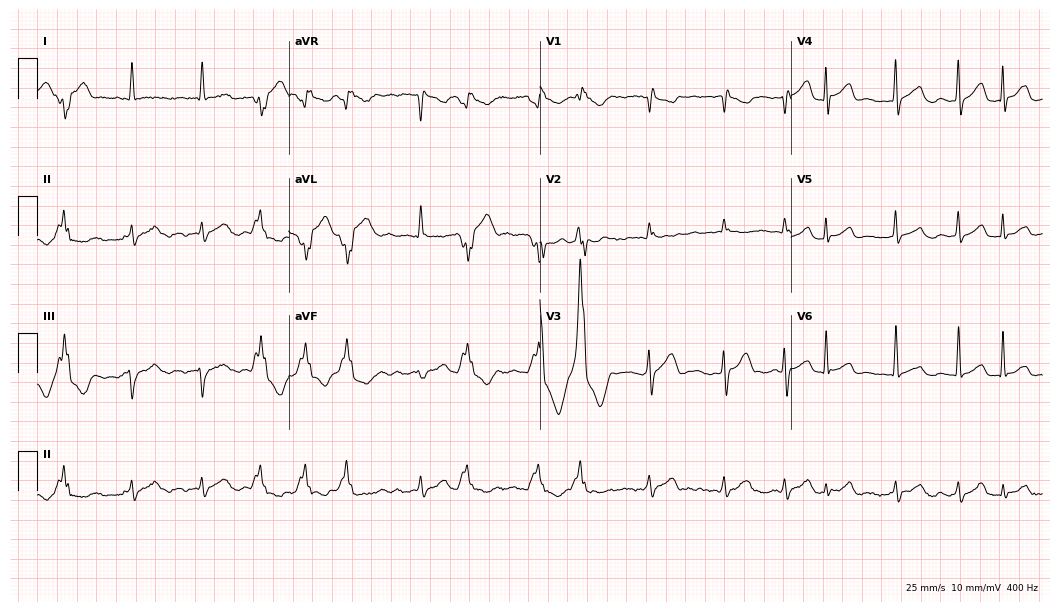
ECG (10.2-second recording at 400 Hz) — a woman, 73 years old. Findings include atrial fibrillation (AF).